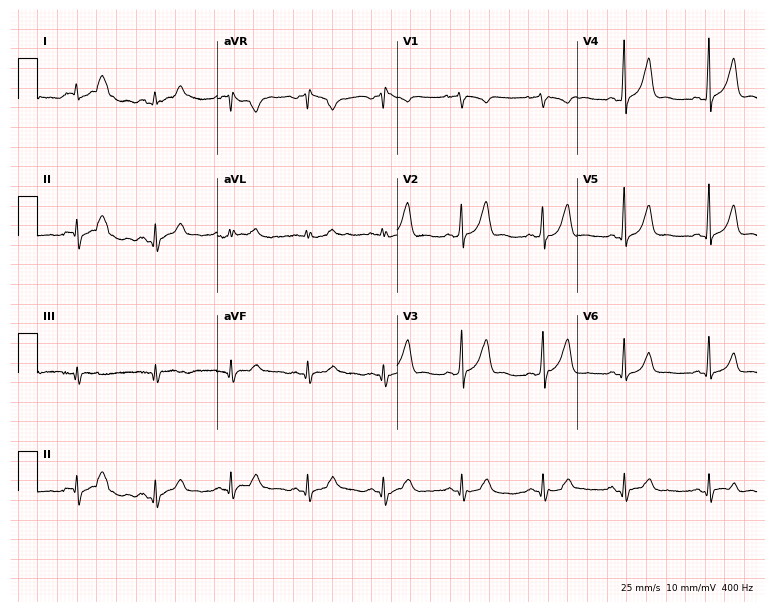
Electrocardiogram (7.3-second recording at 400 Hz), a 32-year-old male patient. Overall reading on record: normal ECG.